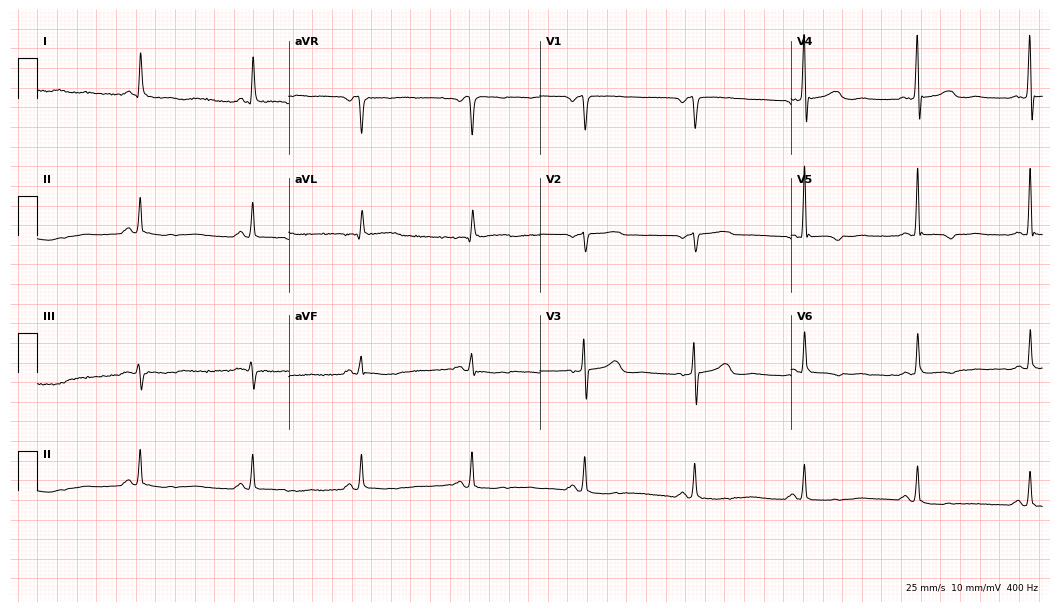
ECG — a 78-year-old female. Screened for six findings — first-degree AV block, right bundle branch block, left bundle branch block, sinus bradycardia, atrial fibrillation, sinus tachycardia — none is recorded. Other findings, if any, are not listed.